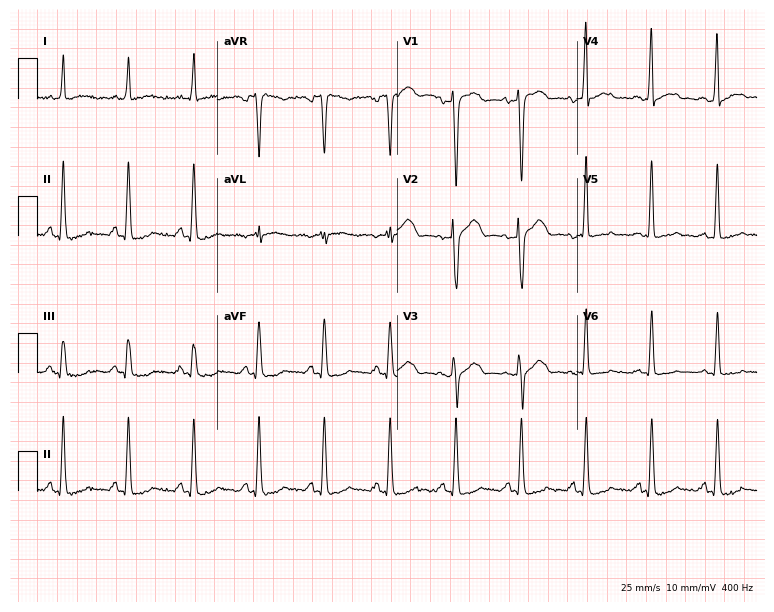
12-lead ECG from a 45-year-old female (7.3-second recording at 400 Hz). No first-degree AV block, right bundle branch block, left bundle branch block, sinus bradycardia, atrial fibrillation or sinus tachycardia recorded for this tracing.